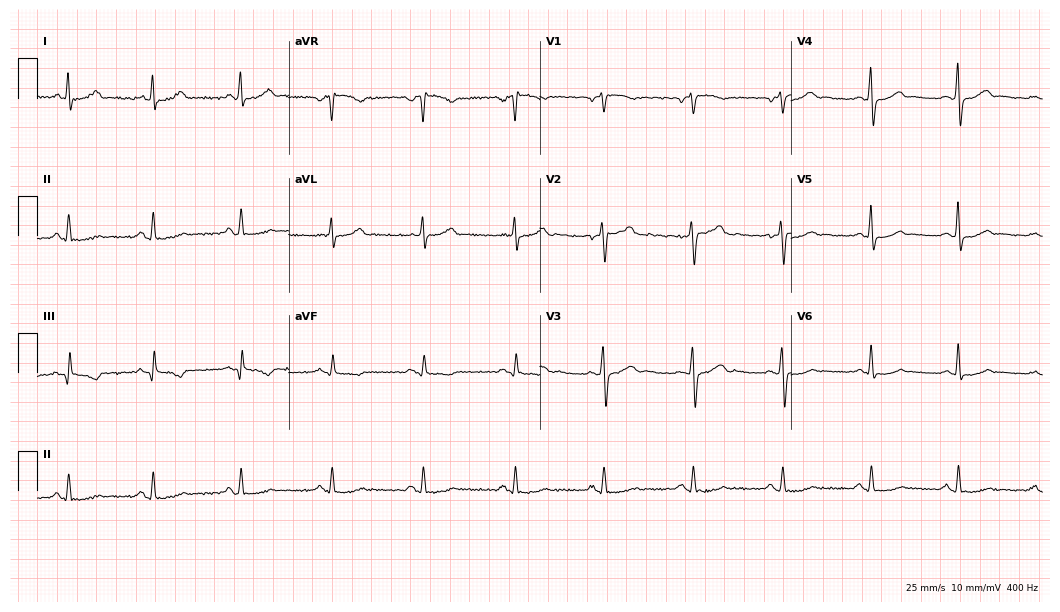
Electrocardiogram, a 38-year-old man. Overall reading on record: normal ECG.